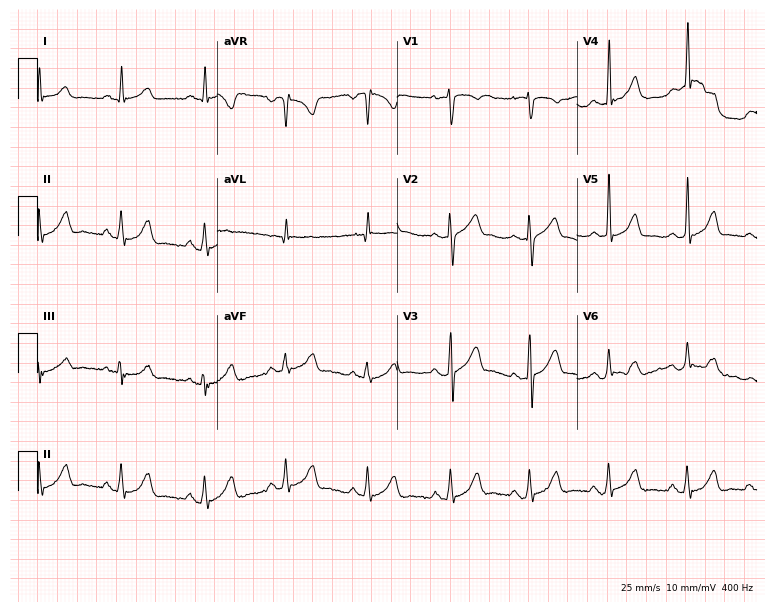
Electrocardiogram (7.3-second recording at 400 Hz), a 37-year-old male patient. Overall reading on record: normal ECG.